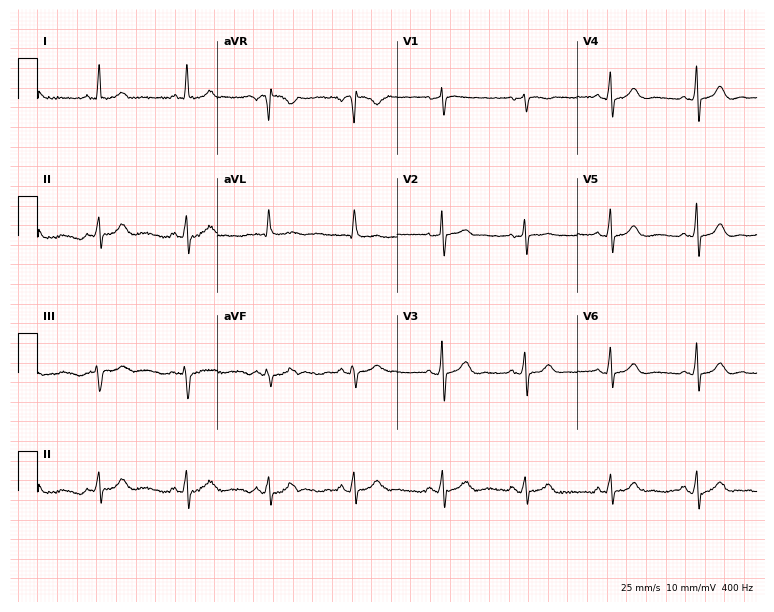
Electrocardiogram, a female patient, 79 years old. Overall reading on record: normal ECG.